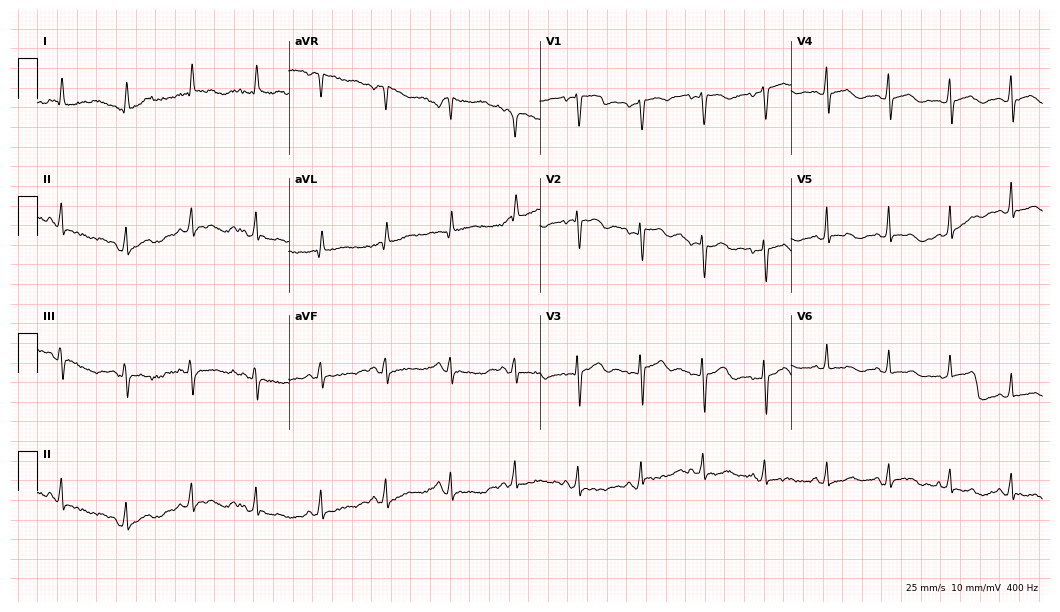
Electrocardiogram (10.2-second recording at 400 Hz), a 53-year-old woman. Of the six screened findings (first-degree AV block, right bundle branch block, left bundle branch block, sinus bradycardia, atrial fibrillation, sinus tachycardia), none is recorded.